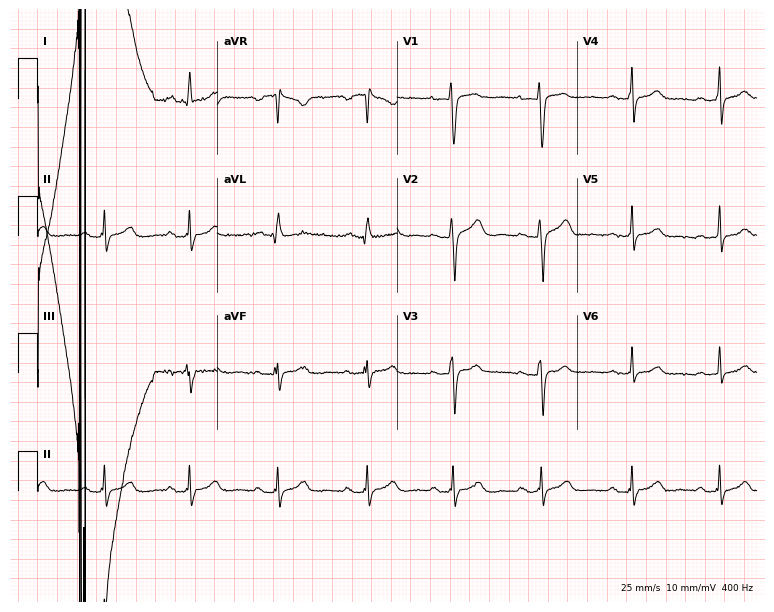
Resting 12-lead electrocardiogram (7.3-second recording at 400 Hz). Patient: a 46-year-old man. Read as a normal ECG.